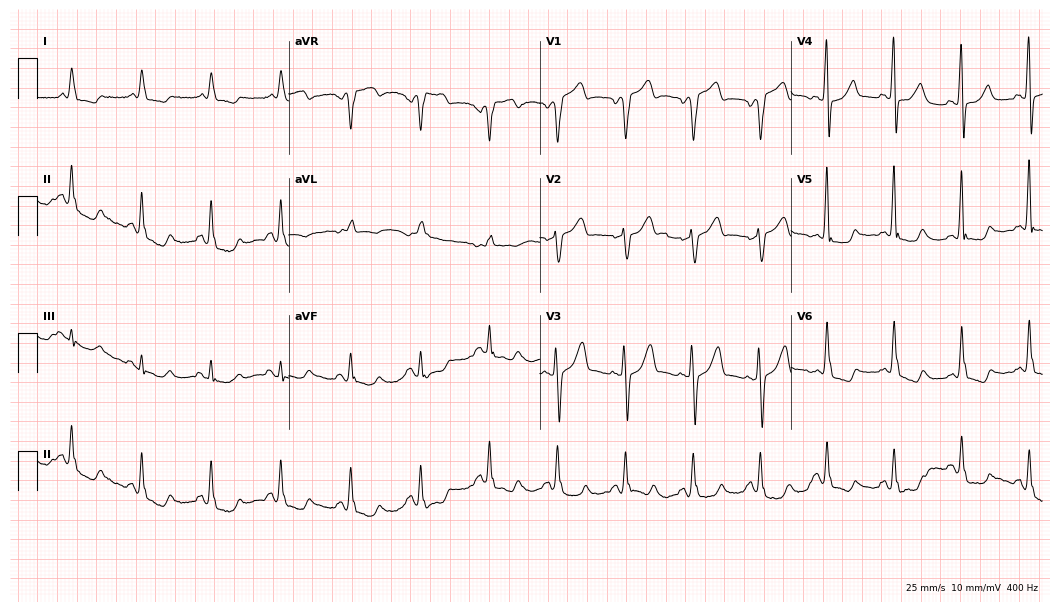
Resting 12-lead electrocardiogram (10.2-second recording at 400 Hz). Patient: a male, 58 years old. None of these six findings is recorded: first-degree AV block, right bundle branch block, left bundle branch block, sinus bradycardia, atrial fibrillation, sinus tachycardia. Only these six findings were labelled.